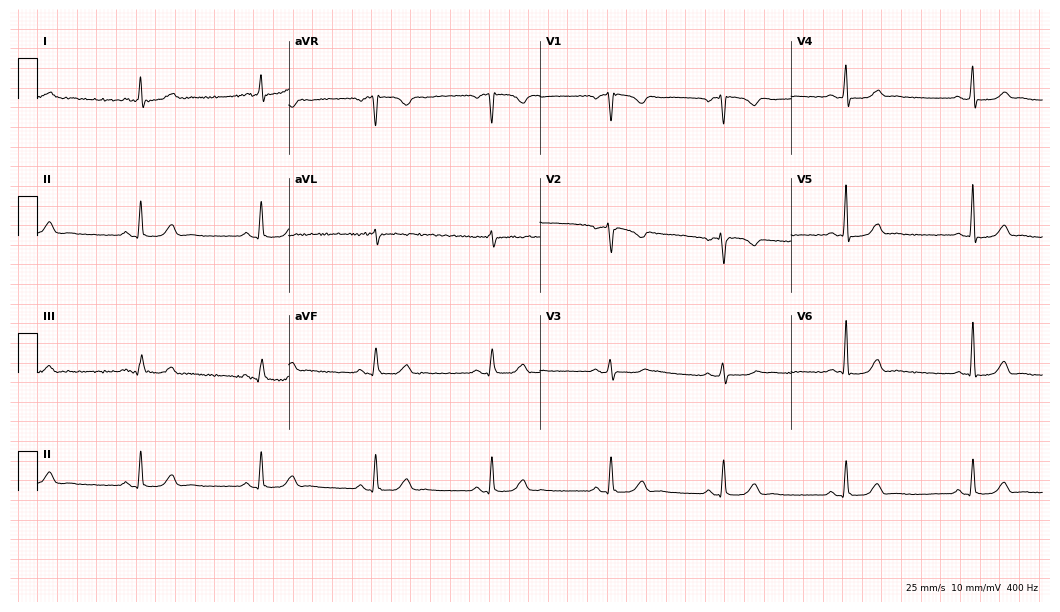
Electrocardiogram, a 50-year-old female. Of the six screened findings (first-degree AV block, right bundle branch block (RBBB), left bundle branch block (LBBB), sinus bradycardia, atrial fibrillation (AF), sinus tachycardia), none is recorded.